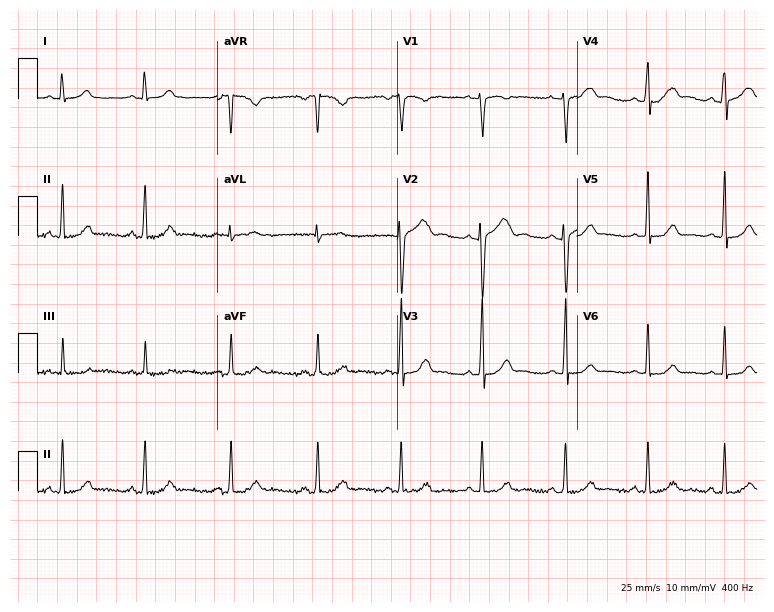
Resting 12-lead electrocardiogram (7.3-second recording at 400 Hz). Patient: a 22-year-old female. Read as a normal ECG.